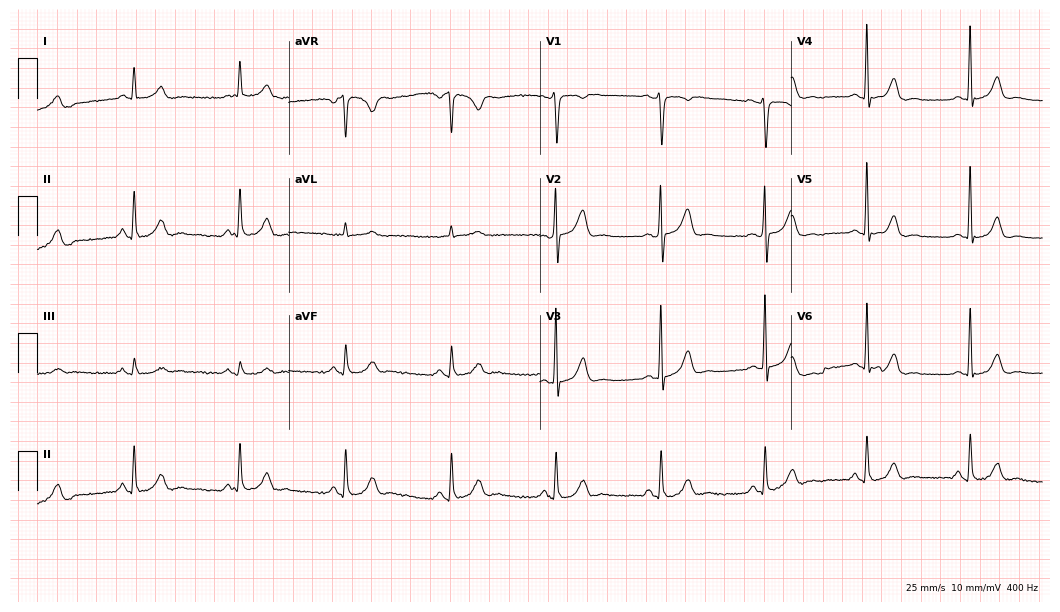
Resting 12-lead electrocardiogram. Patient: a male, 66 years old. None of these six findings is recorded: first-degree AV block, right bundle branch block, left bundle branch block, sinus bradycardia, atrial fibrillation, sinus tachycardia.